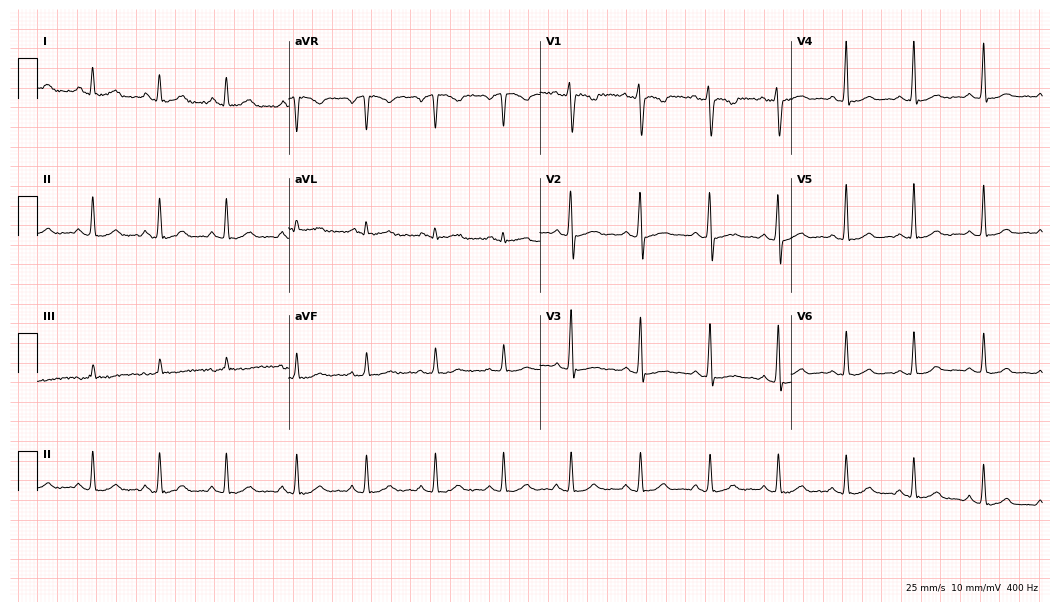
12-lead ECG (10.2-second recording at 400 Hz) from a 49-year-old man. Labelled as a normal ECG.